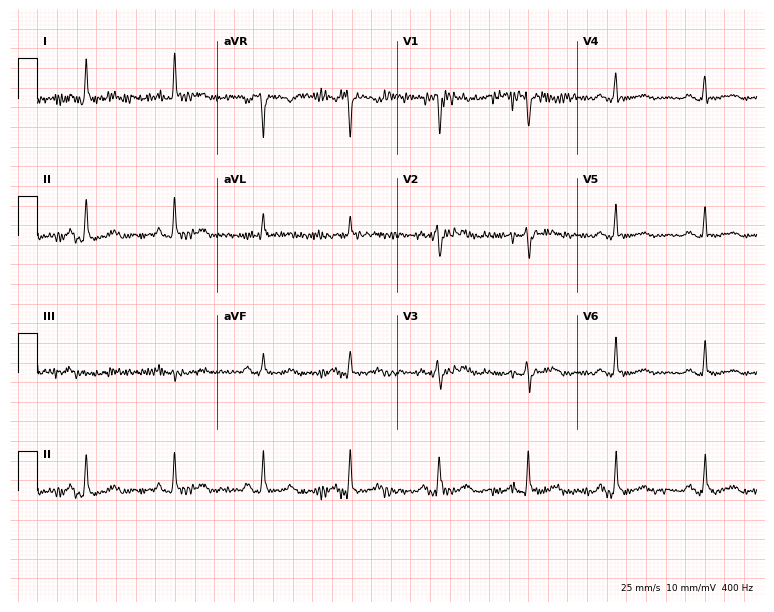
12-lead ECG from a woman, 63 years old. Labelled as a normal ECG.